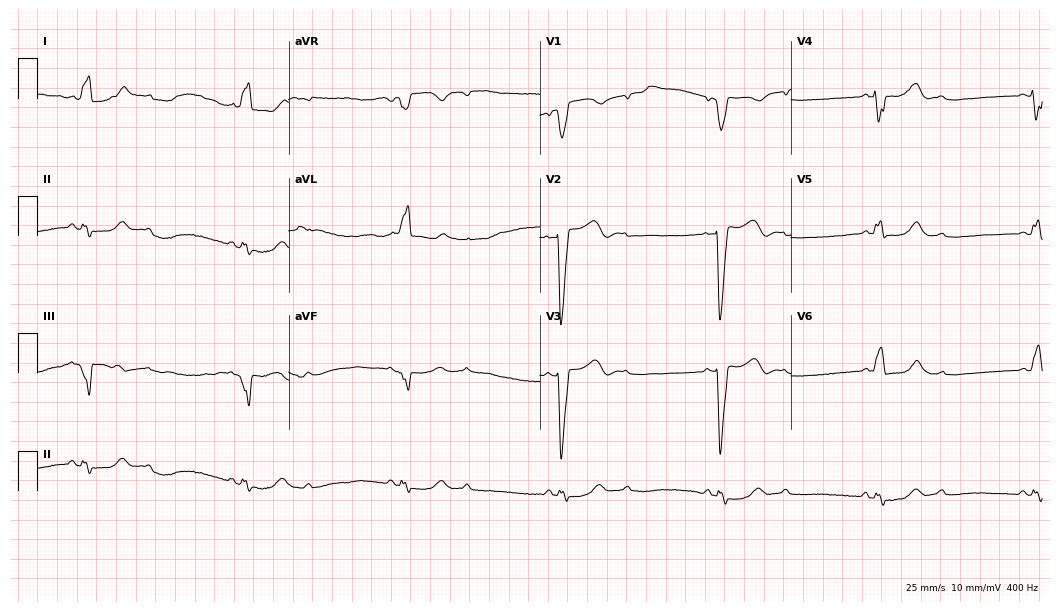
Resting 12-lead electrocardiogram (10.2-second recording at 400 Hz). Patient: a female, 79 years old. The tracing shows left bundle branch block.